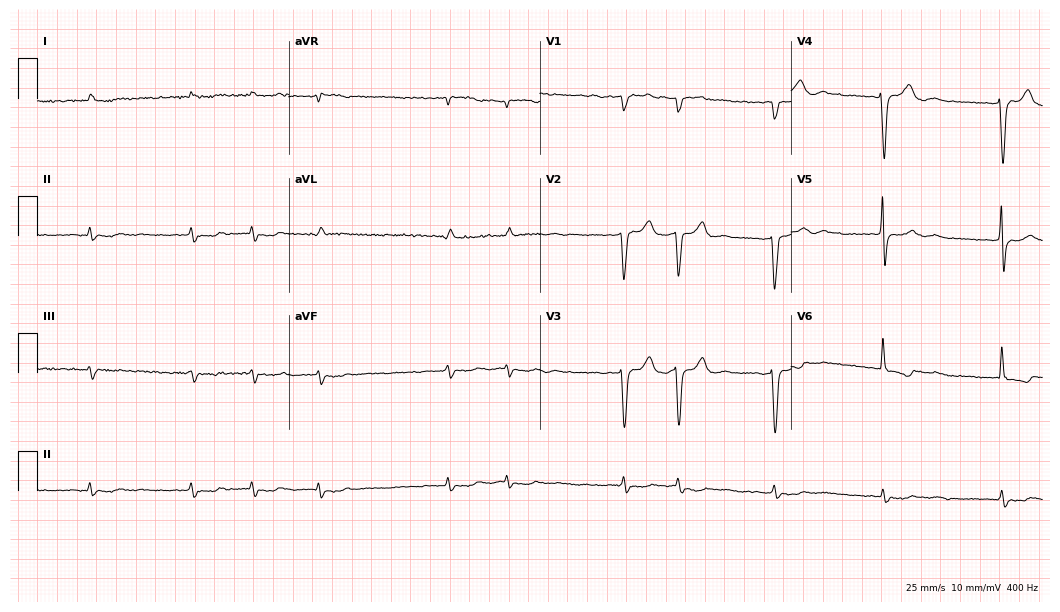
12-lead ECG from an 81-year-old man. Findings include atrial fibrillation.